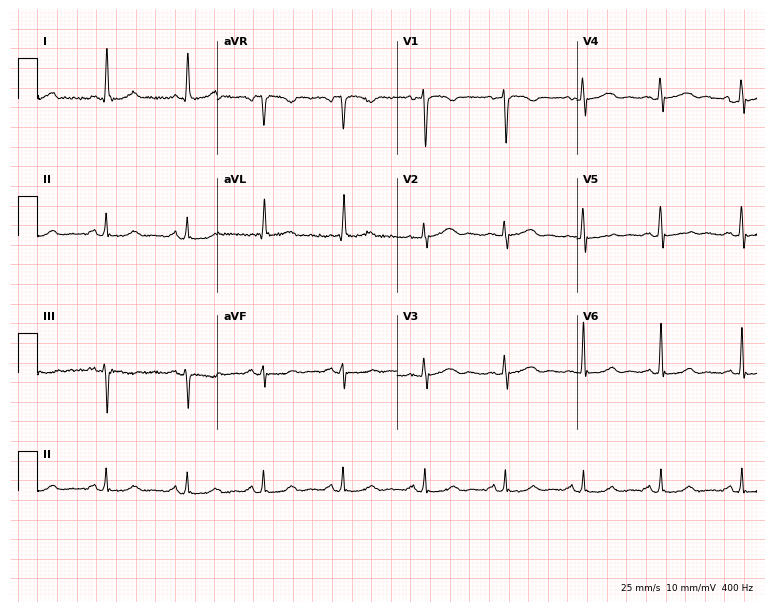
Electrocardiogram (7.3-second recording at 400 Hz), a 53-year-old female. Of the six screened findings (first-degree AV block, right bundle branch block (RBBB), left bundle branch block (LBBB), sinus bradycardia, atrial fibrillation (AF), sinus tachycardia), none is recorded. Other findings, if any, are not listed.